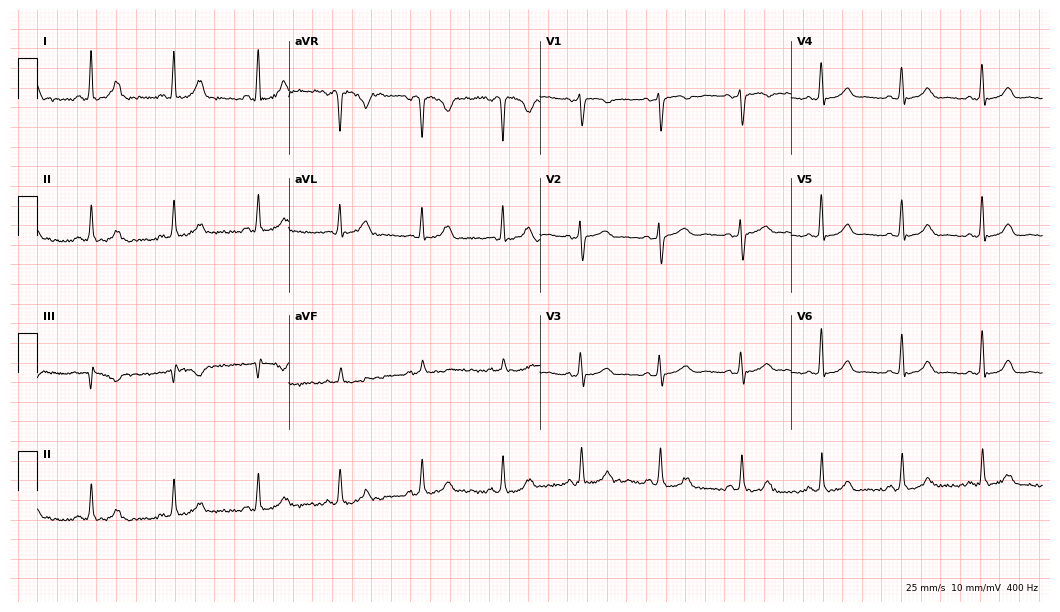
Electrocardiogram, a woman, 46 years old. Overall reading on record: normal ECG.